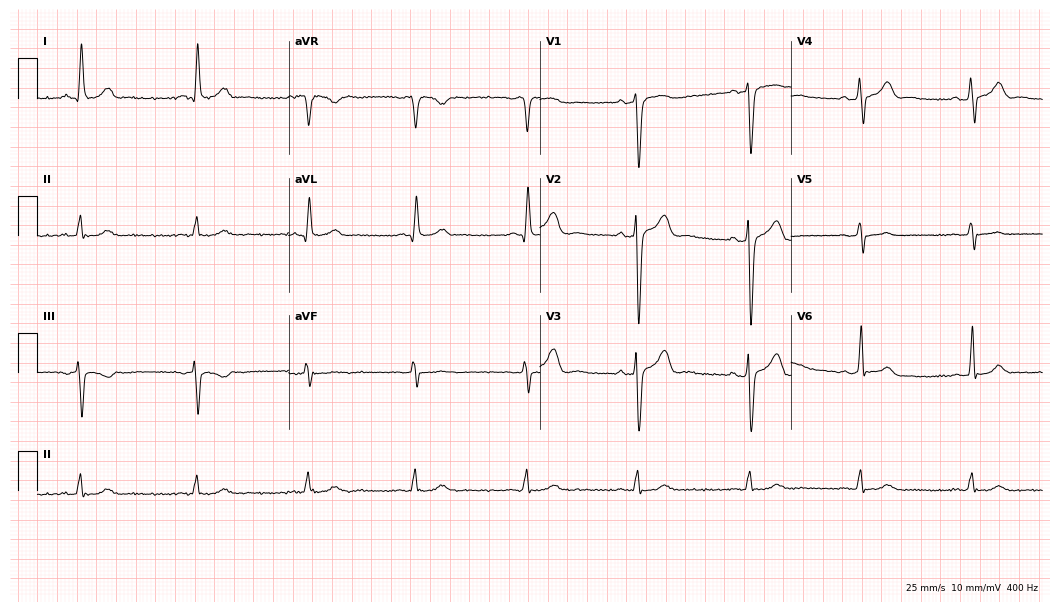
Standard 12-lead ECG recorded from a male, 36 years old. None of these six findings is recorded: first-degree AV block, right bundle branch block (RBBB), left bundle branch block (LBBB), sinus bradycardia, atrial fibrillation (AF), sinus tachycardia.